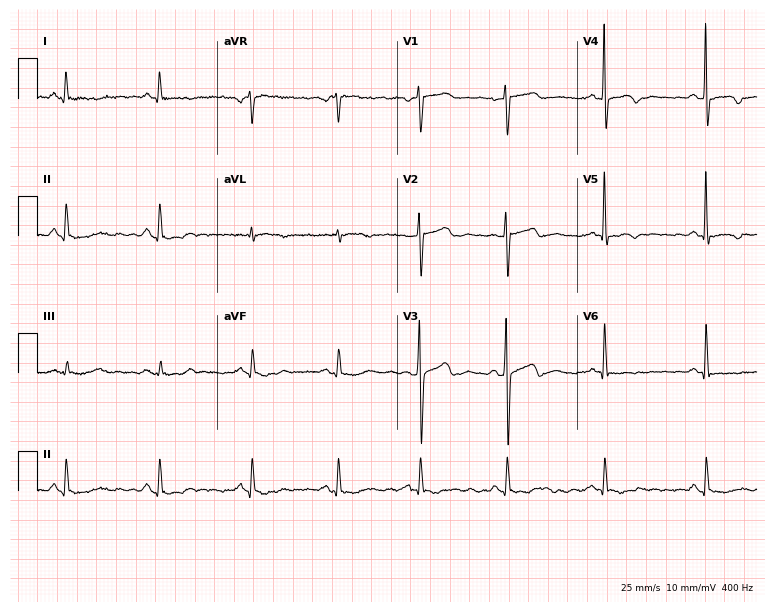
12-lead ECG from a 56-year-old female patient (7.3-second recording at 400 Hz). No first-degree AV block, right bundle branch block (RBBB), left bundle branch block (LBBB), sinus bradycardia, atrial fibrillation (AF) or sinus tachycardia recorded for this tracing.